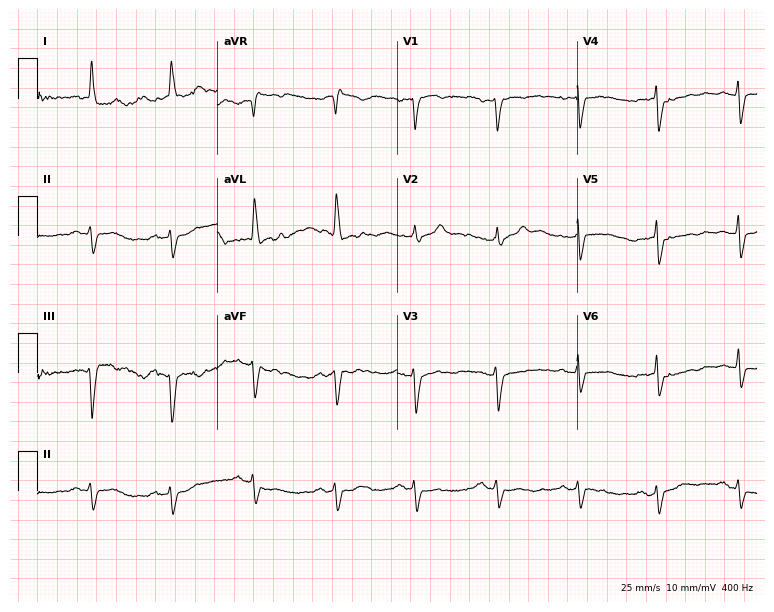
Standard 12-lead ECG recorded from a woman, 85 years old (7.3-second recording at 400 Hz). None of these six findings is recorded: first-degree AV block, right bundle branch block, left bundle branch block, sinus bradycardia, atrial fibrillation, sinus tachycardia. Findings outside these six are not listed.